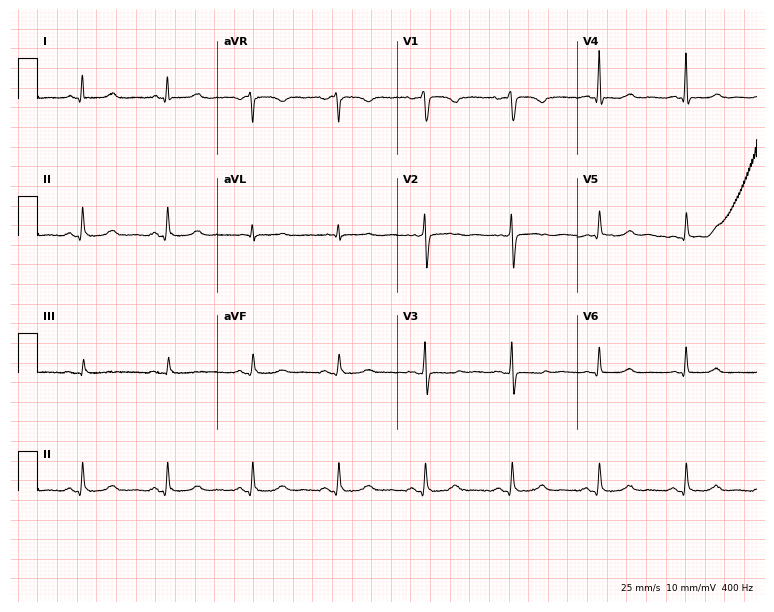
Electrocardiogram, a 52-year-old female. Of the six screened findings (first-degree AV block, right bundle branch block (RBBB), left bundle branch block (LBBB), sinus bradycardia, atrial fibrillation (AF), sinus tachycardia), none is recorded.